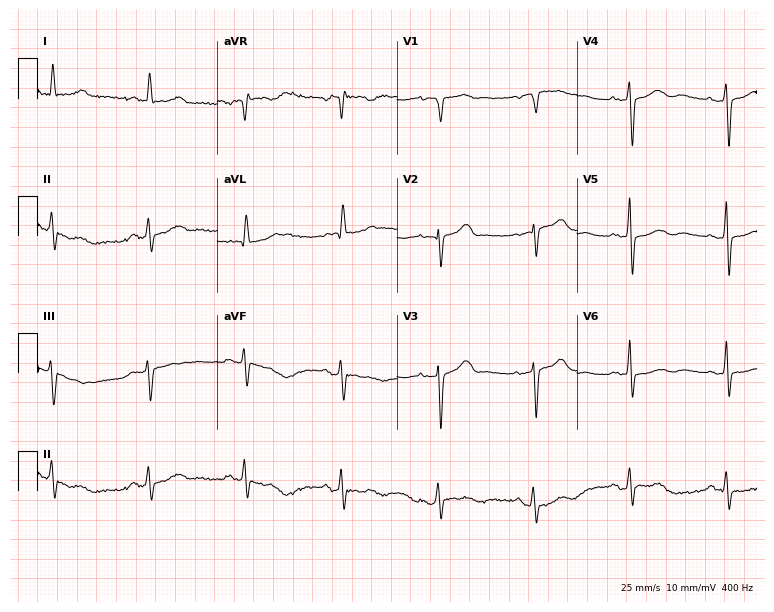
ECG (7.3-second recording at 400 Hz) — a 65-year-old woman. Screened for six findings — first-degree AV block, right bundle branch block (RBBB), left bundle branch block (LBBB), sinus bradycardia, atrial fibrillation (AF), sinus tachycardia — none is recorded.